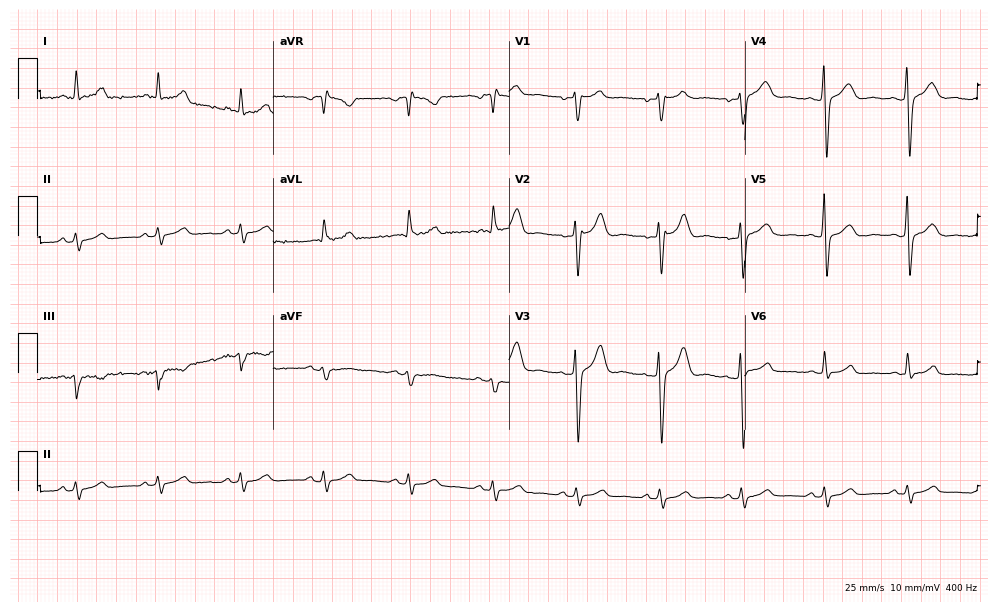
Standard 12-lead ECG recorded from a male, 45 years old (9.6-second recording at 400 Hz). Read as a normal ECG.